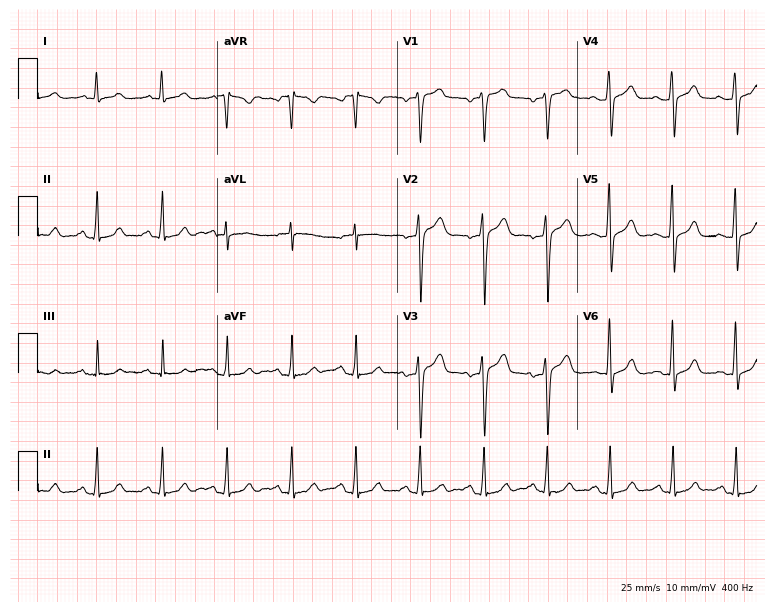
ECG — a 41-year-old male. Labelled as a normal ECG.